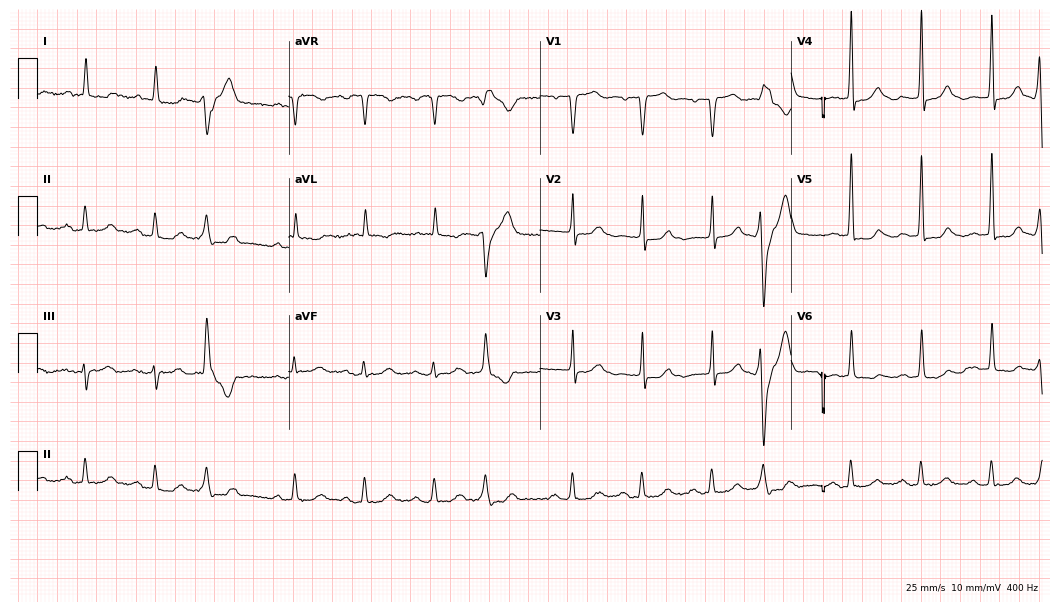
Standard 12-lead ECG recorded from an 80-year-old female patient (10.2-second recording at 400 Hz). None of these six findings is recorded: first-degree AV block, right bundle branch block, left bundle branch block, sinus bradycardia, atrial fibrillation, sinus tachycardia. Other findings, if any, are not listed.